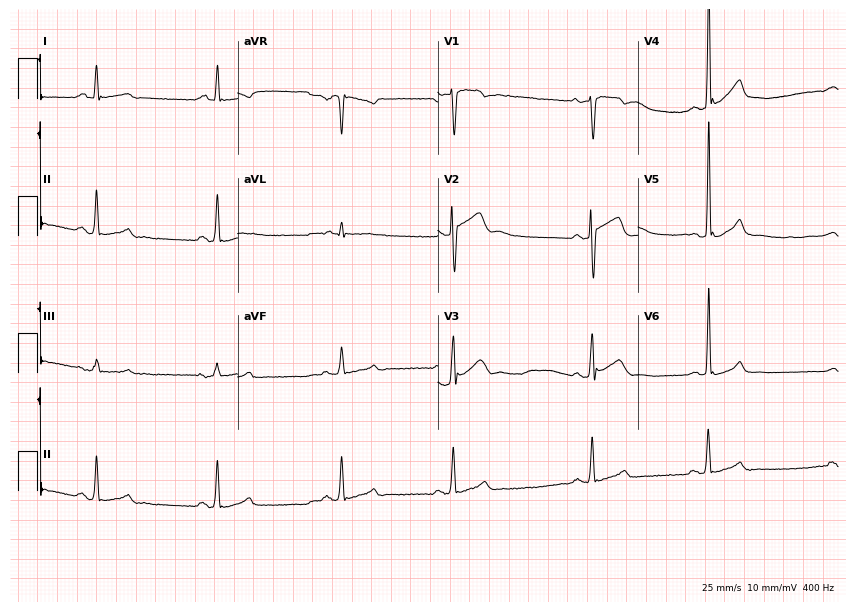
Electrocardiogram, a male, 26 years old. Overall reading on record: normal ECG.